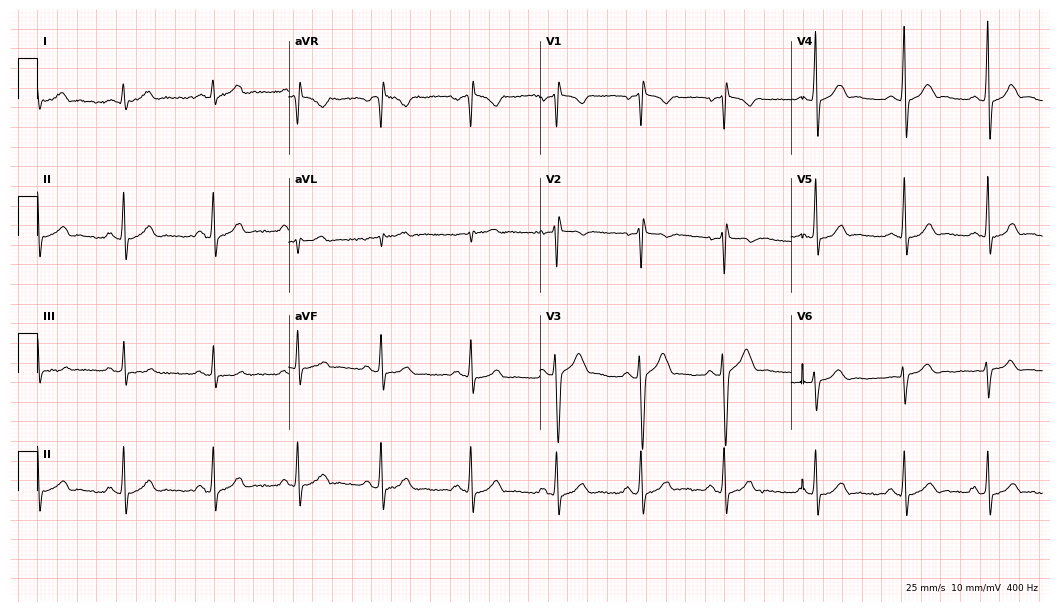
Standard 12-lead ECG recorded from a male patient, 23 years old. None of these six findings is recorded: first-degree AV block, right bundle branch block (RBBB), left bundle branch block (LBBB), sinus bradycardia, atrial fibrillation (AF), sinus tachycardia.